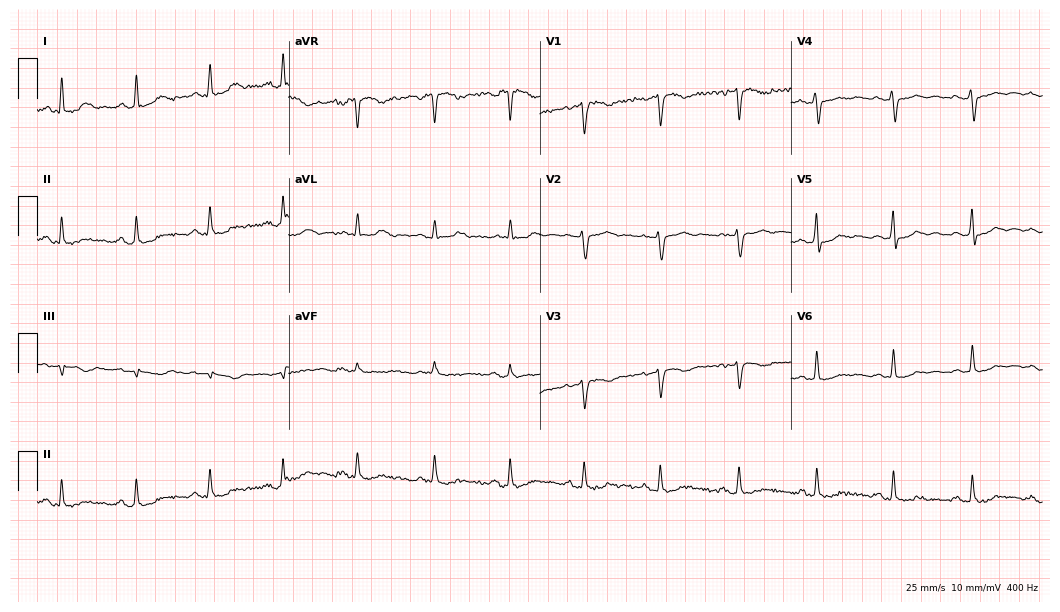
12-lead ECG from a 58-year-old female patient. No first-degree AV block, right bundle branch block (RBBB), left bundle branch block (LBBB), sinus bradycardia, atrial fibrillation (AF) or sinus tachycardia recorded for this tracing.